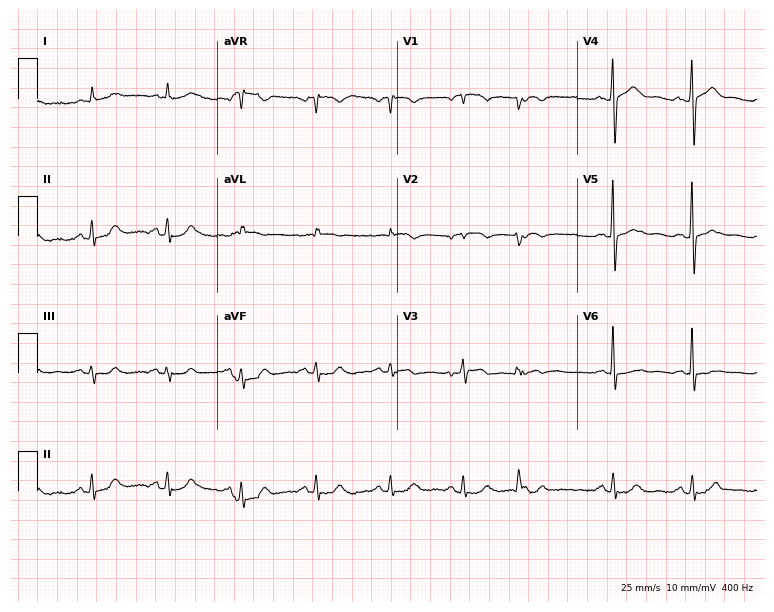
12-lead ECG from a 60-year-old male patient. Screened for six findings — first-degree AV block, right bundle branch block, left bundle branch block, sinus bradycardia, atrial fibrillation, sinus tachycardia — none is recorded.